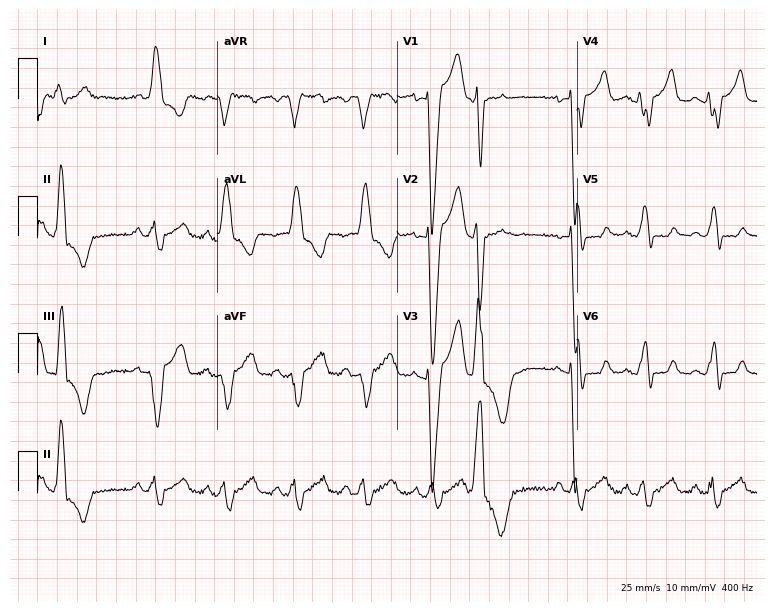
Standard 12-lead ECG recorded from a female patient, 78 years old (7.3-second recording at 400 Hz). The tracing shows left bundle branch block (LBBB).